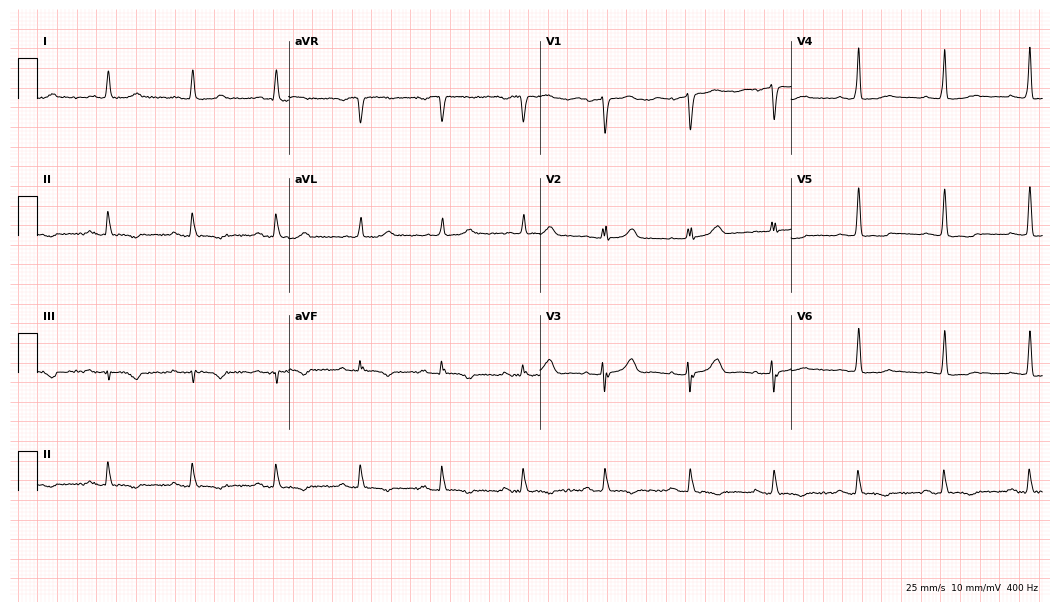
Resting 12-lead electrocardiogram. Patient: a woman, 66 years old. None of these six findings is recorded: first-degree AV block, right bundle branch block, left bundle branch block, sinus bradycardia, atrial fibrillation, sinus tachycardia.